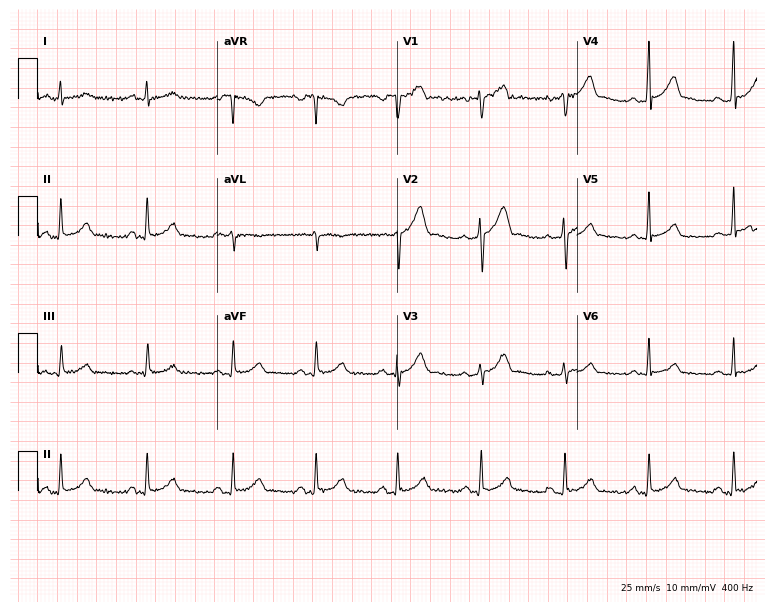
Electrocardiogram, a 30-year-old man. Of the six screened findings (first-degree AV block, right bundle branch block, left bundle branch block, sinus bradycardia, atrial fibrillation, sinus tachycardia), none is recorded. Only these six findings were labelled.